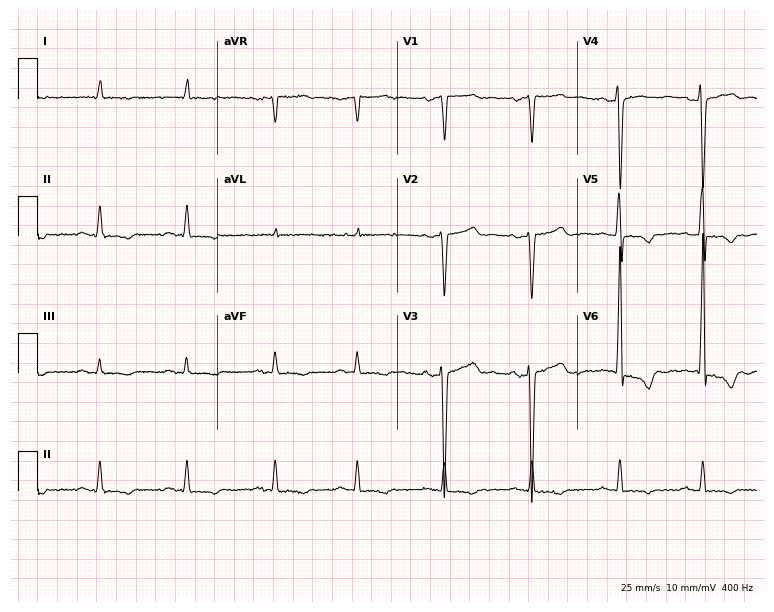
Standard 12-lead ECG recorded from a woman, 71 years old (7.3-second recording at 400 Hz). None of these six findings is recorded: first-degree AV block, right bundle branch block, left bundle branch block, sinus bradycardia, atrial fibrillation, sinus tachycardia.